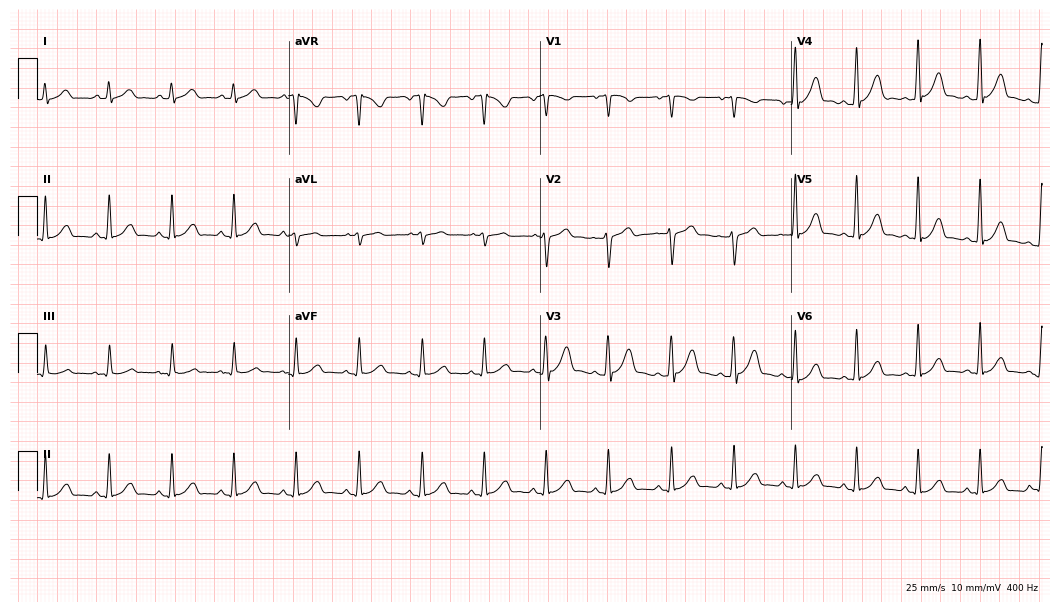
12-lead ECG from a male patient, 32 years old. Labelled as a normal ECG.